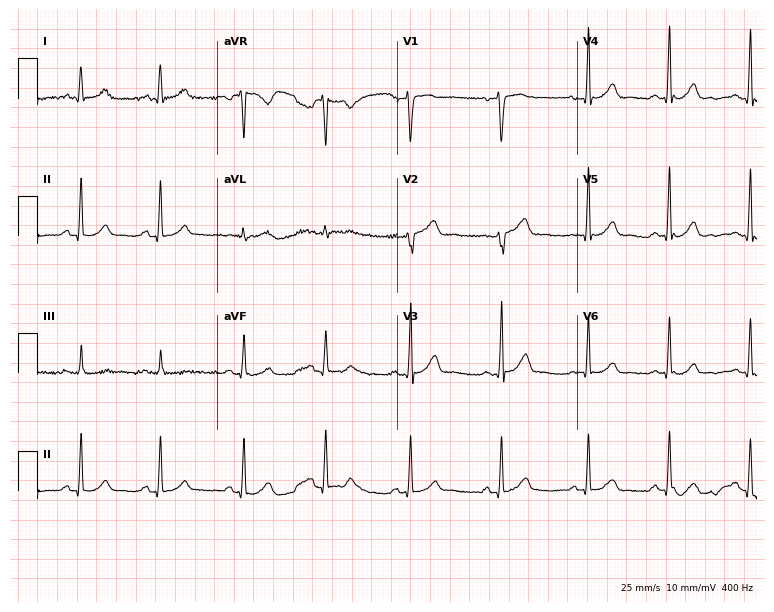
Standard 12-lead ECG recorded from a 34-year-old female patient. None of these six findings is recorded: first-degree AV block, right bundle branch block (RBBB), left bundle branch block (LBBB), sinus bradycardia, atrial fibrillation (AF), sinus tachycardia. Other findings, if any, are not listed.